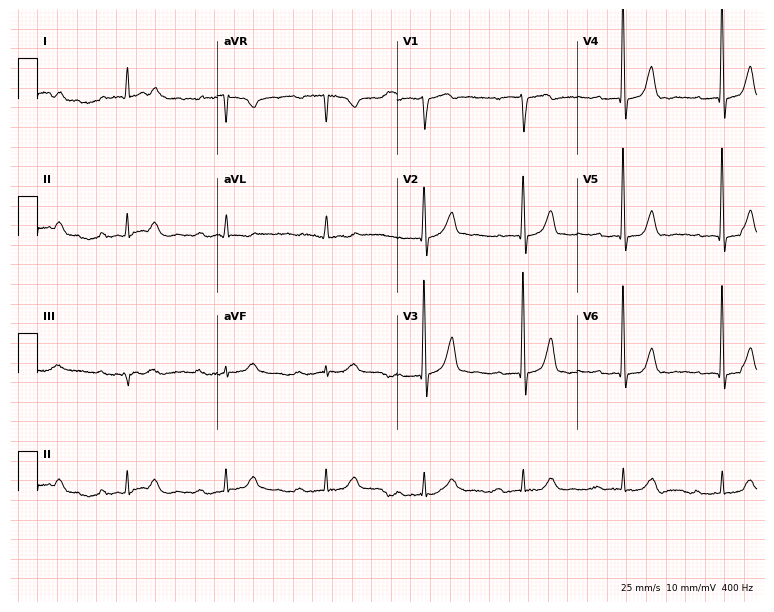
Standard 12-lead ECG recorded from a male patient, 81 years old (7.3-second recording at 400 Hz). The tracing shows first-degree AV block.